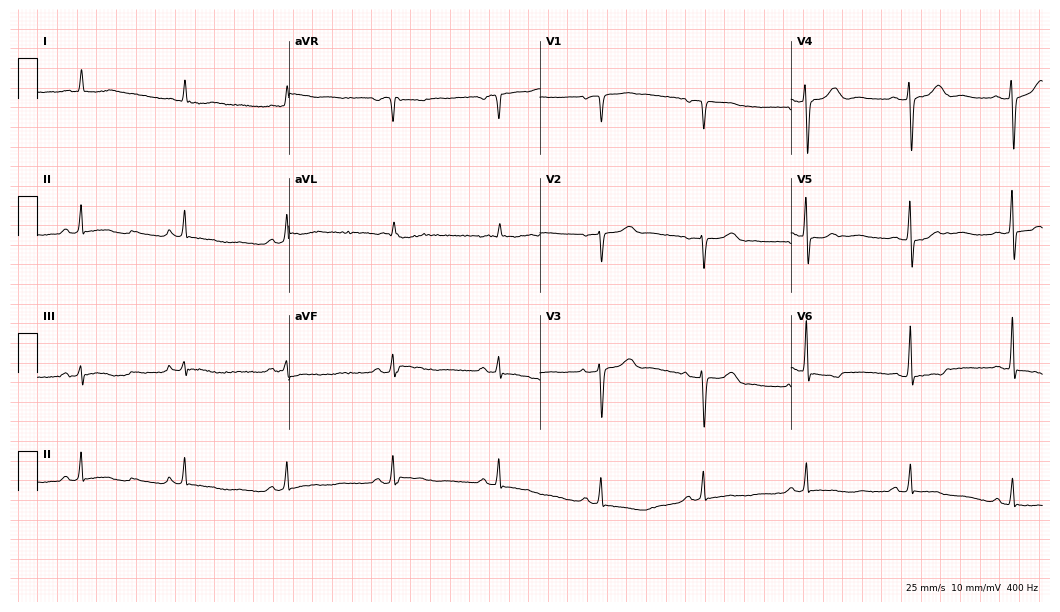
Electrocardiogram (10.2-second recording at 400 Hz), a male patient, 84 years old. Of the six screened findings (first-degree AV block, right bundle branch block, left bundle branch block, sinus bradycardia, atrial fibrillation, sinus tachycardia), none is recorded.